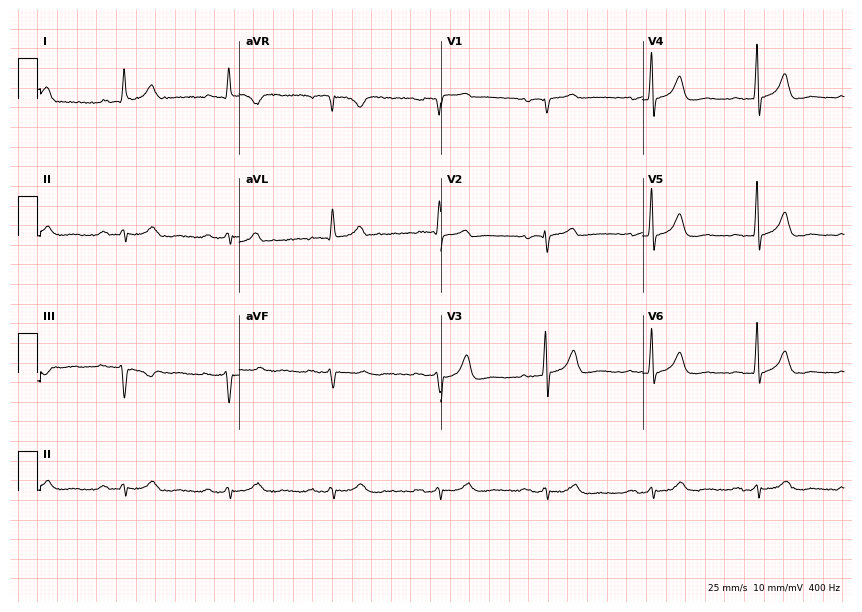
Electrocardiogram (8.2-second recording at 400 Hz), a 76-year-old man. Of the six screened findings (first-degree AV block, right bundle branch block, left bundle branch block, sinus bradycardia, atrial fibrillation, sinus tachycardia), none is recorded.